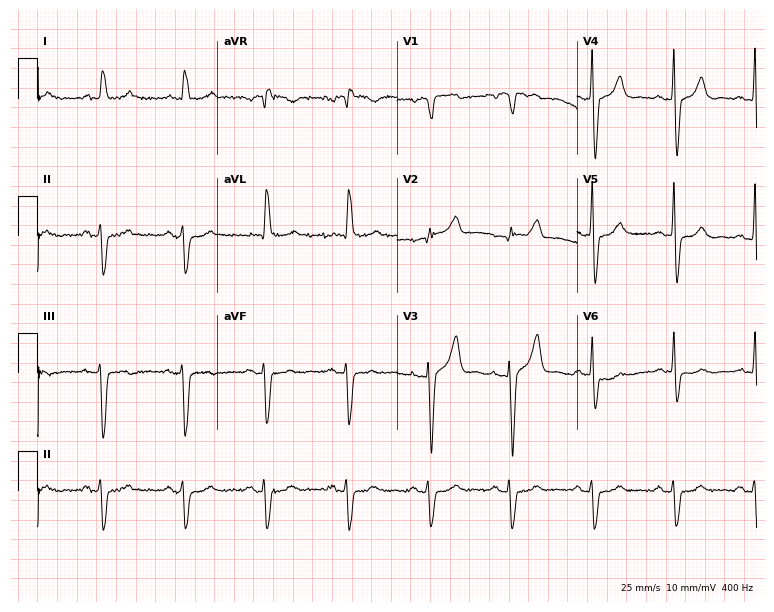
12-lead ECG from an 83-year-old male. Screened for six findings — first-degree AV block, right bundle branch block, left bundle branch block, sinus bradycardia, atrial fibrillation, sinus tachycardia — none is recorded. Only these six findings were labelled.